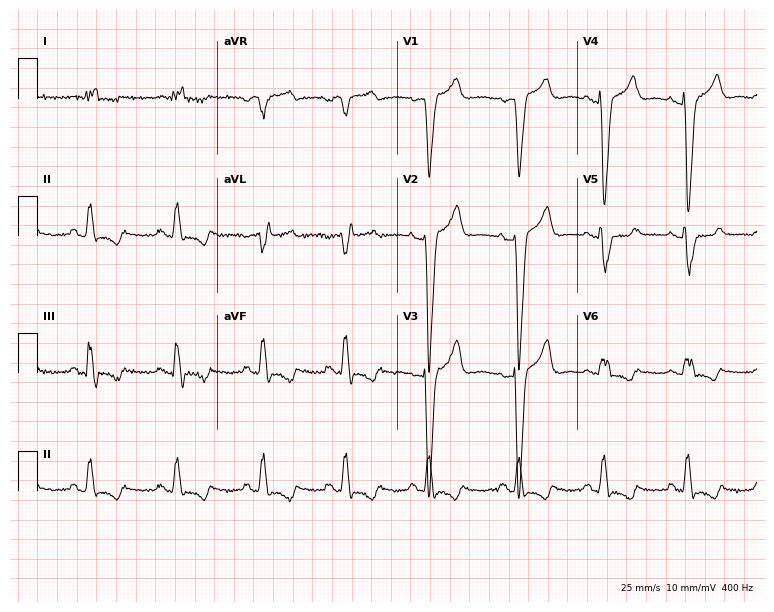
Standard 12-lead ECG recorded from a 58-year-old woman (7.3-second recording at 400 Hz). The tracing shows left bundle branch block.